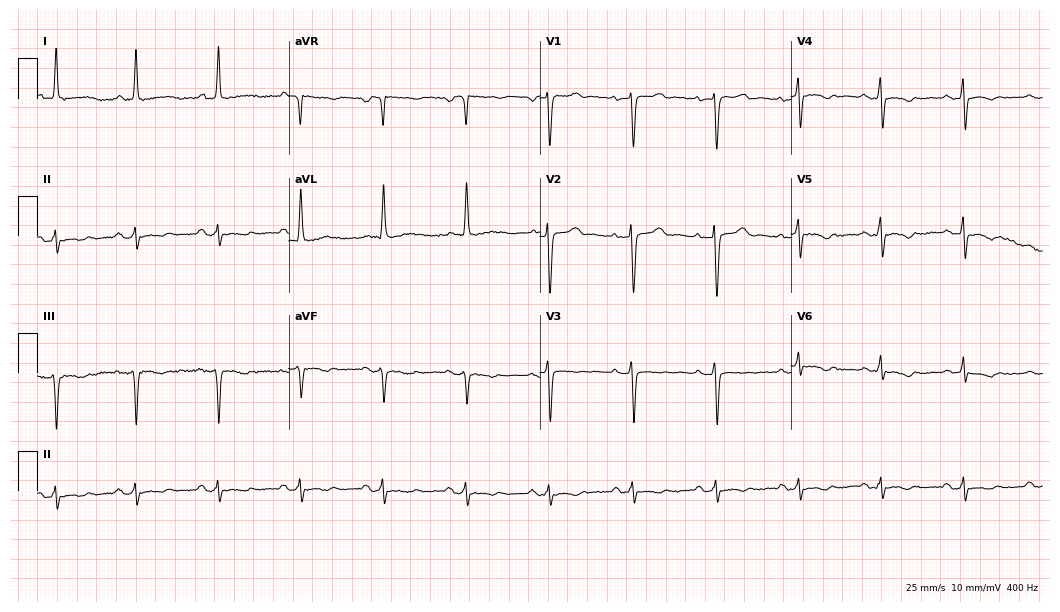
Standard 12-lead ECG recorded from a woman, 66 years old (10.2-second recording at 400 Hz). None of these six findings is recorded: first-degree AV block, right bundle branch block (RBBB), left bundle branch block (LBBB), sinus bradycardia, atrial fibrillation (AF), sinus tachycardia.